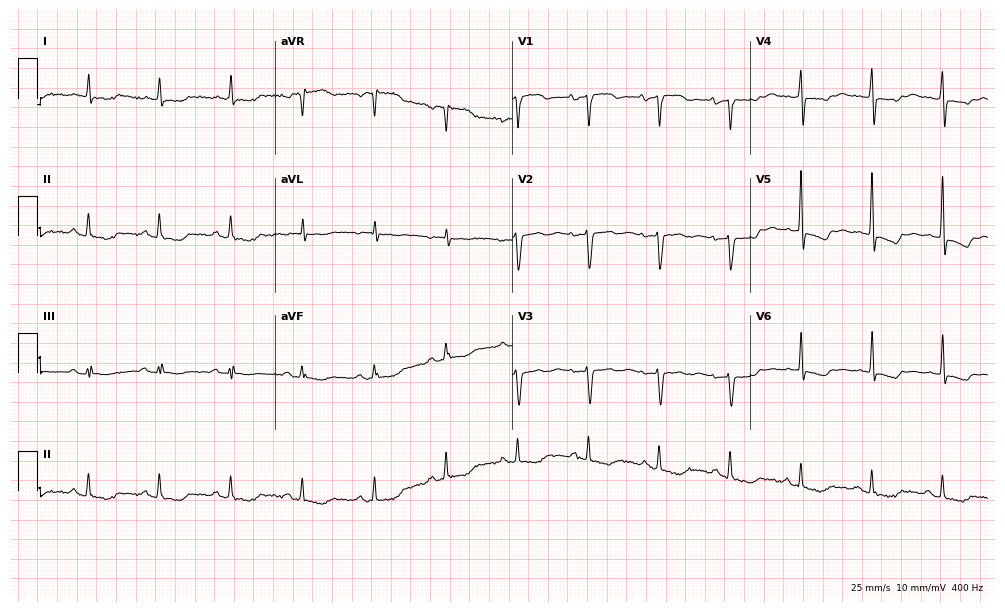
Electrocardiogram (9.7-second recording at 400 Hz), an 83-year-old female patient. Of the six screened findings (first-degree AV block, right bundle branch block, left bundle branch block, sinus bradycardia, atrial fibrillation, sinus tachycardia), none is recorded.